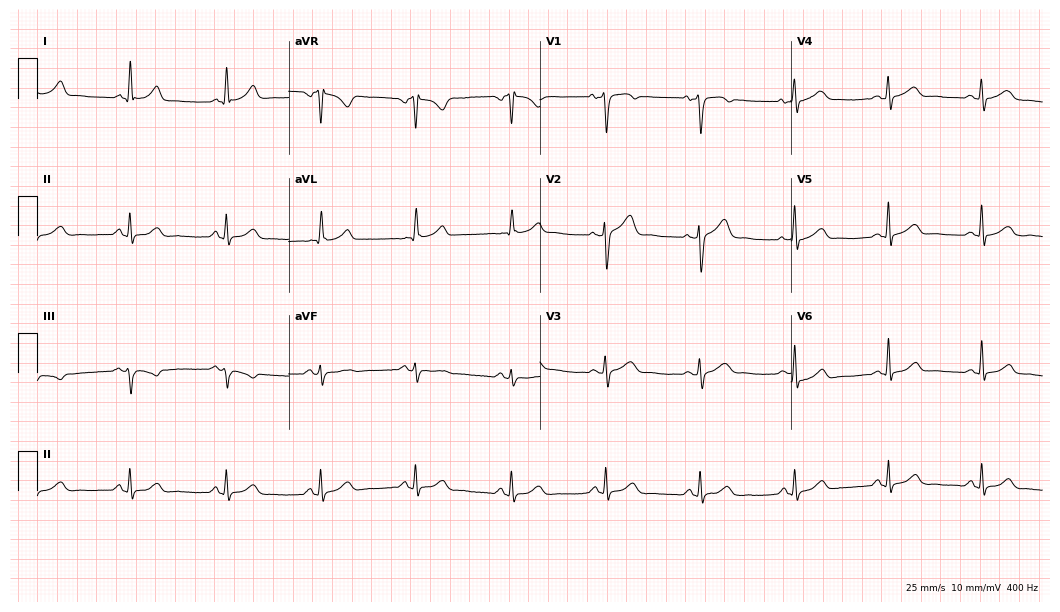
Resting 12-lead electrocardiogram (10.2-second recording at 400 Hz). Patient: a 57-year-old female. None of these six findings is recorded: first-degree AV block, right bundle branch block, left bundle branch block, sinus bradycardia, atrial fibrillation, sinus tachycardia.